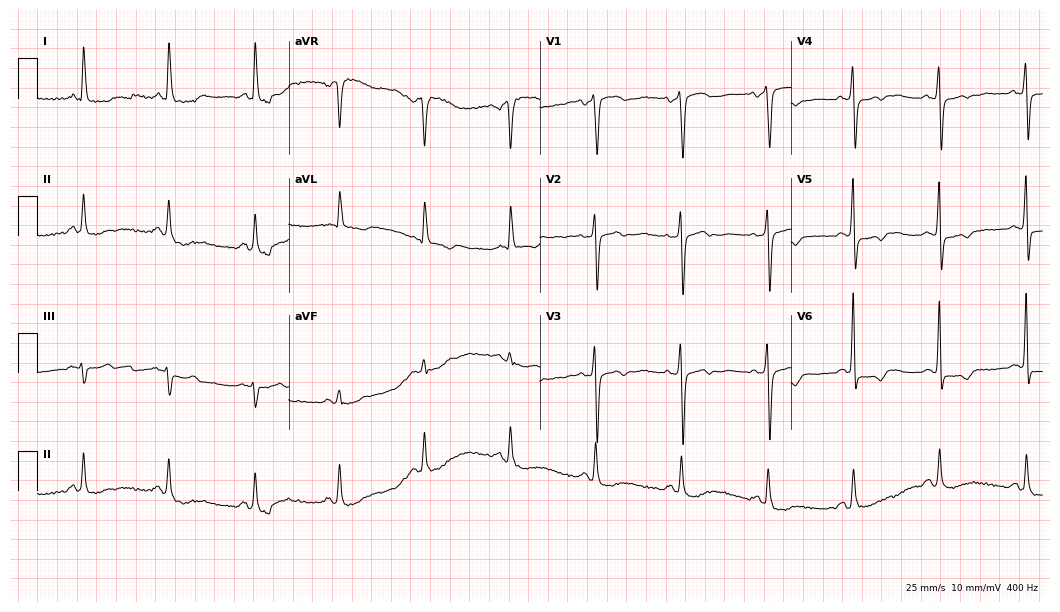
12-lead ECG from a 68-year-old female. No first-degree AV block, right bundle branch block (RBBB), left bundle branch block (LBBB), sinus bradycardia, atrial fibrillation (AF) or sinus tachycardia recorded for this tracing.